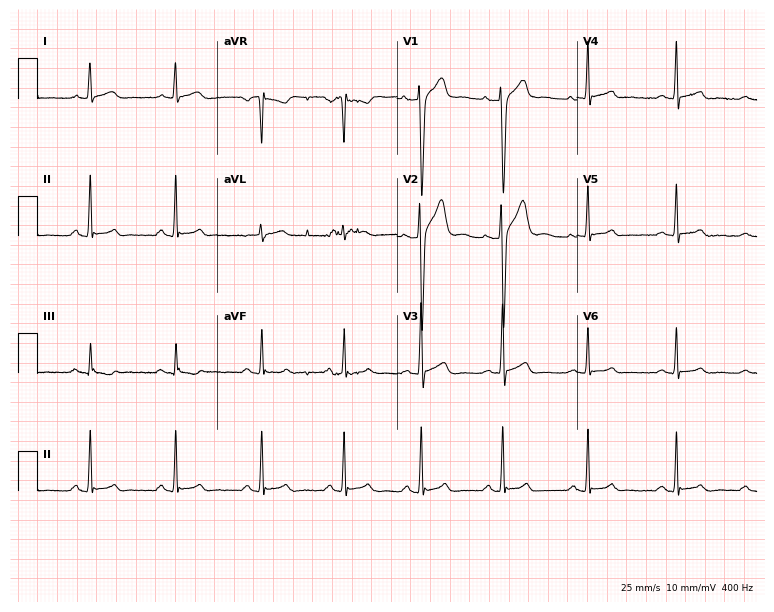
Electrocardiogram, a man, 40 years old. Overall reading on record: normal ECG.